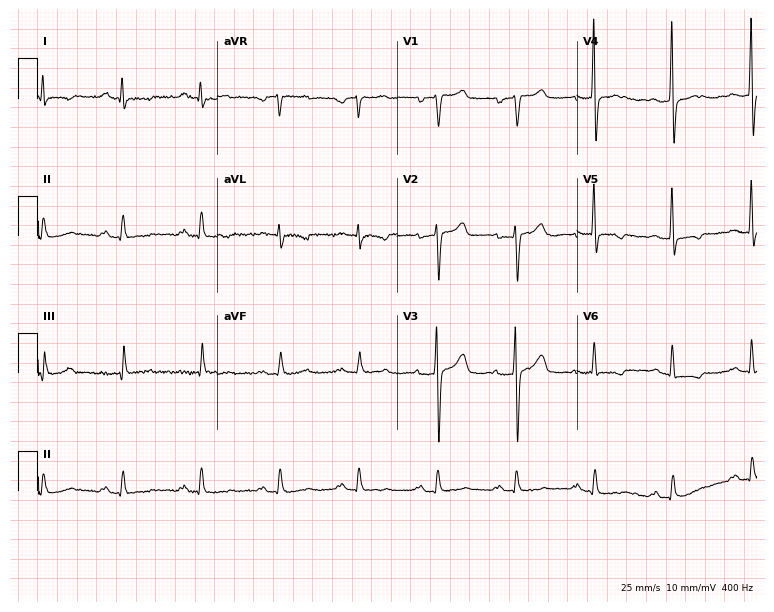
12-lead ECG (7.3-second recording at 400 Hz) from a 48-year-old female. Screened for six findings — first-degree AV block, right bundle branch block, left bundle branch block, sinus bradycardia, atrial fibrillation, sinus tachycardia — none is recorded. Other findings, if any, are not listed.